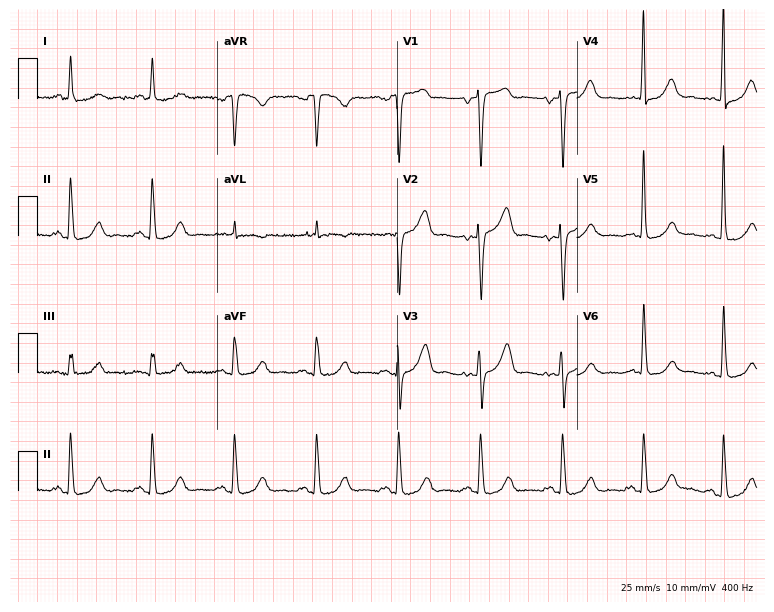
Resting 12-lead electrocardiogram (7.3-second recording at 400 Hz). Patient: a female, 62 years old. Read as a normal ECG.